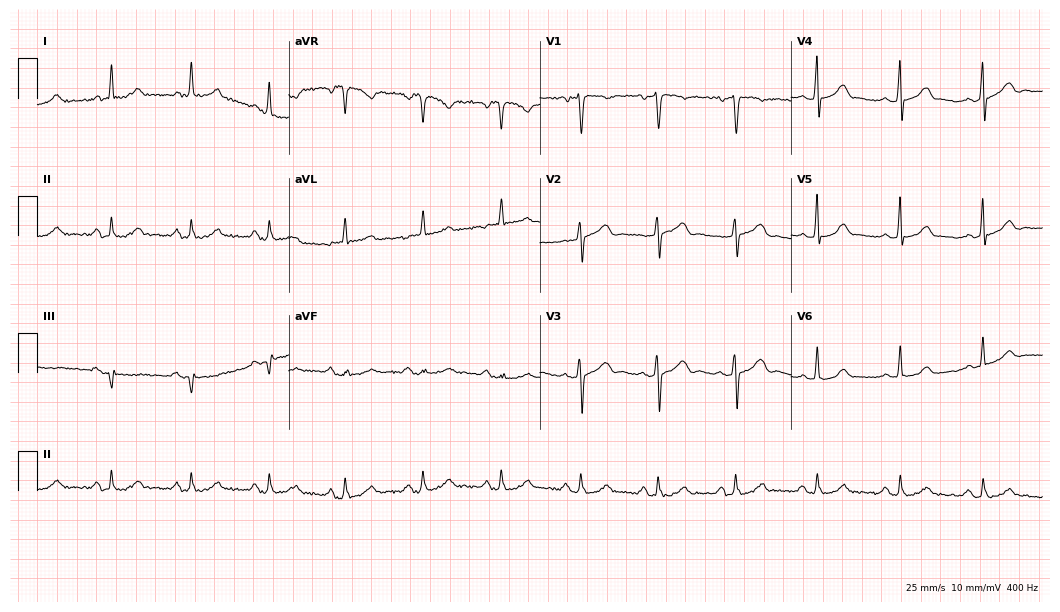
Resting 12-lead electrocardiogram. Patient: a female, 59 years old. Read as a normal ECG.